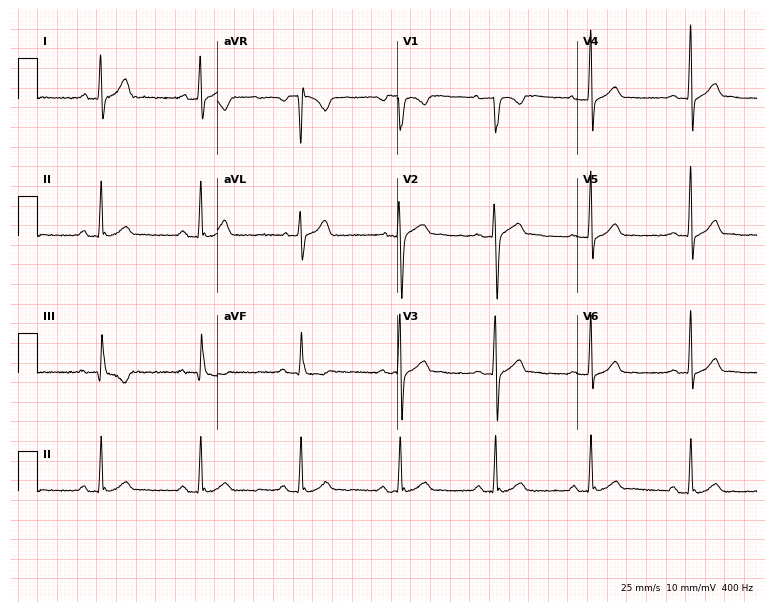
Electrocardiogram (7.3-second recording at 400 Hz), a 27-year-old male. Overall reading on record: normal ECG.